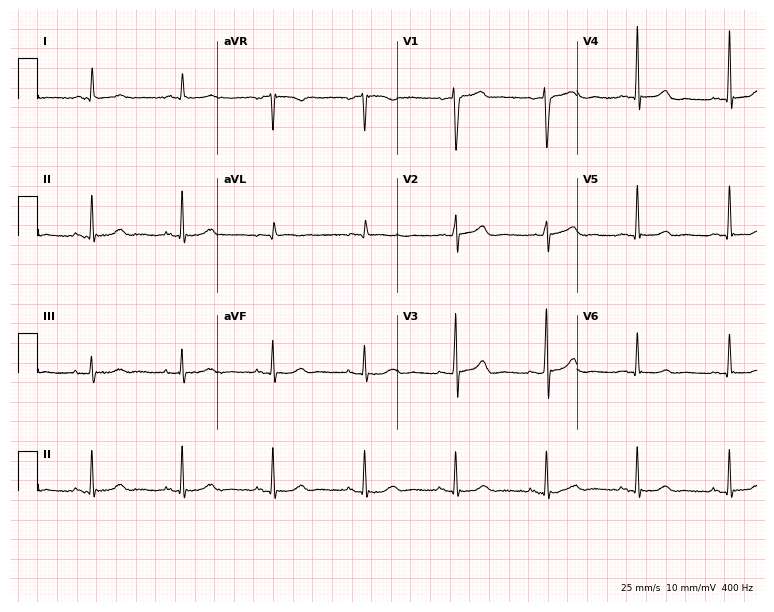
Electrocardiogram (7.3-second recording at 400 Hz), an 86-year-old man. Of the six screened findings (first-degree AV block, right bundle branch block (RBBB), left bundle branch block (LBBB), sinus bradycardia, atrial fibrillation (AF), sinus tachycardia), none is recorded.